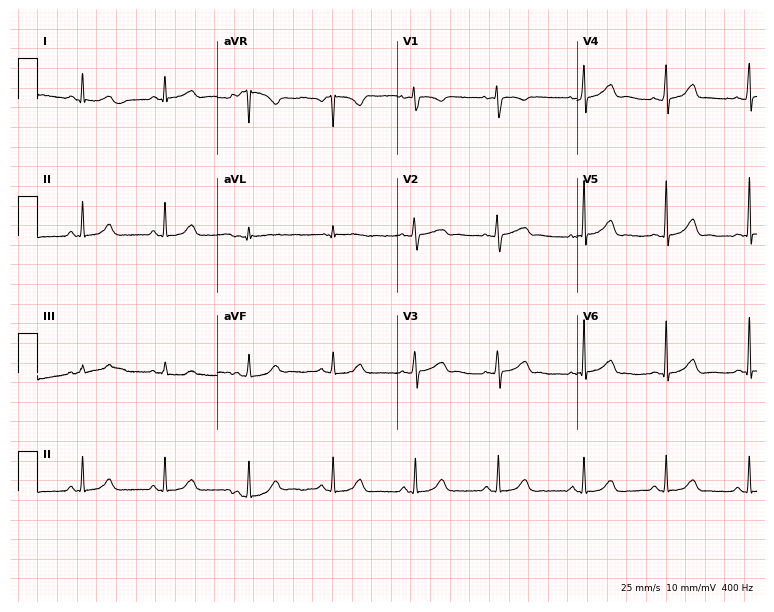
Electrocardiogram, a female, 31 years old. Of the six screened findings (first-degree AV block, right bundle branch block, left bundle branch block, sinus bradycardia, atrial fibrillation, sinus tachycardia), none is recorded.